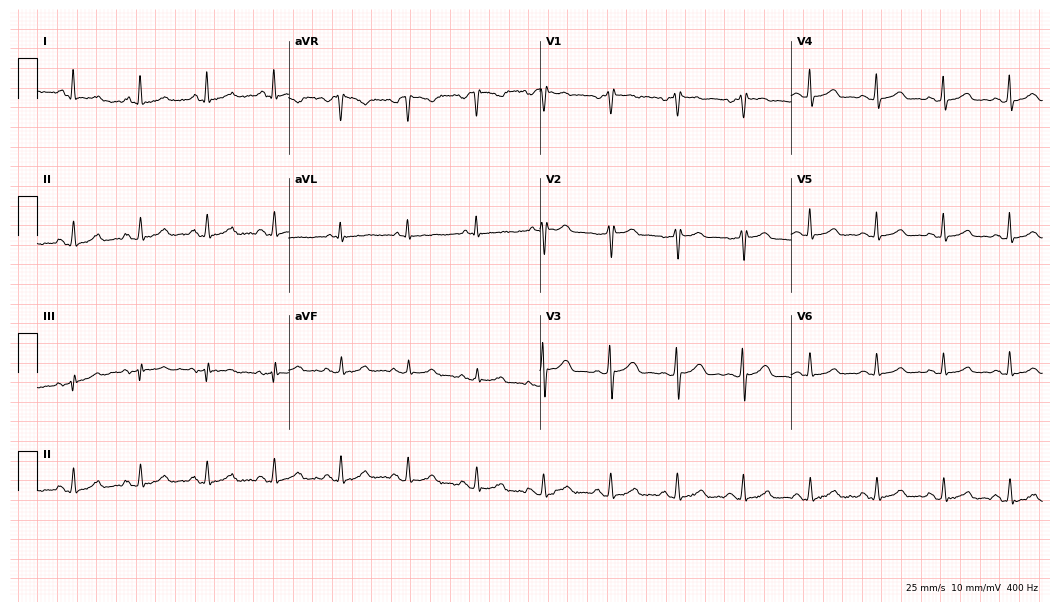
12-lead ECG from a female, 55 years old (10.2-second recording at 400 Hz). No first-degree AV block, right bundle branch block, left bundle branch block, sinus bradycardia, atrial fibrillation or sinus tachycardia recorded for this tracing.